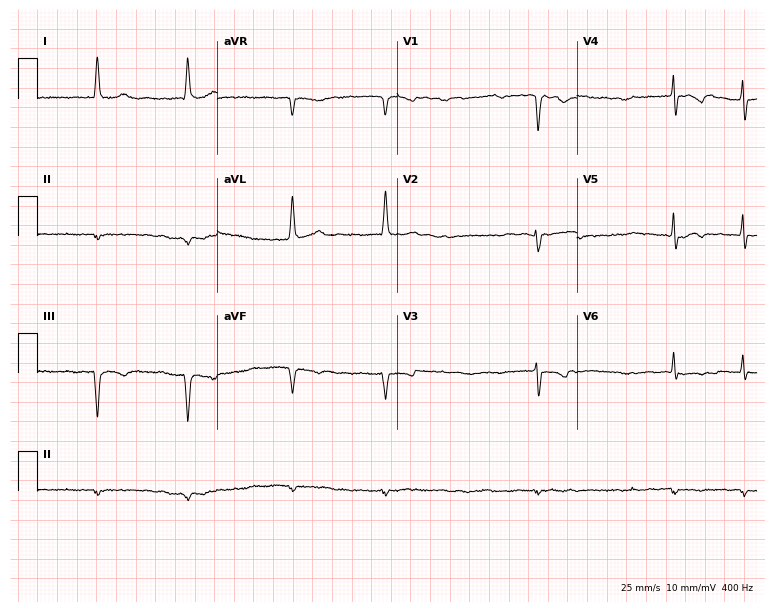
Electrocardiogram, a man, 72 years old. Interpretation includes atrial fibrillation.